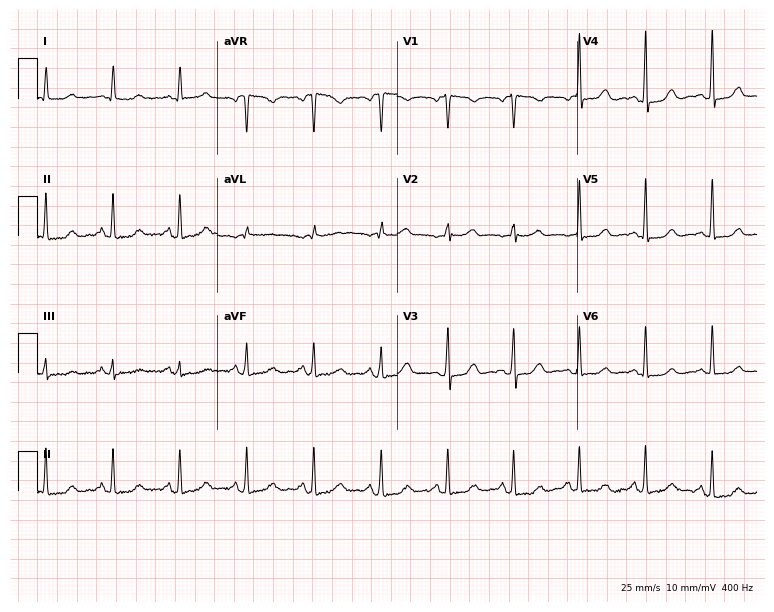
12-lead ECG (7.3-second recording at 400 Hz) from a 67-year-old woman. Labelled as a normal ECG.